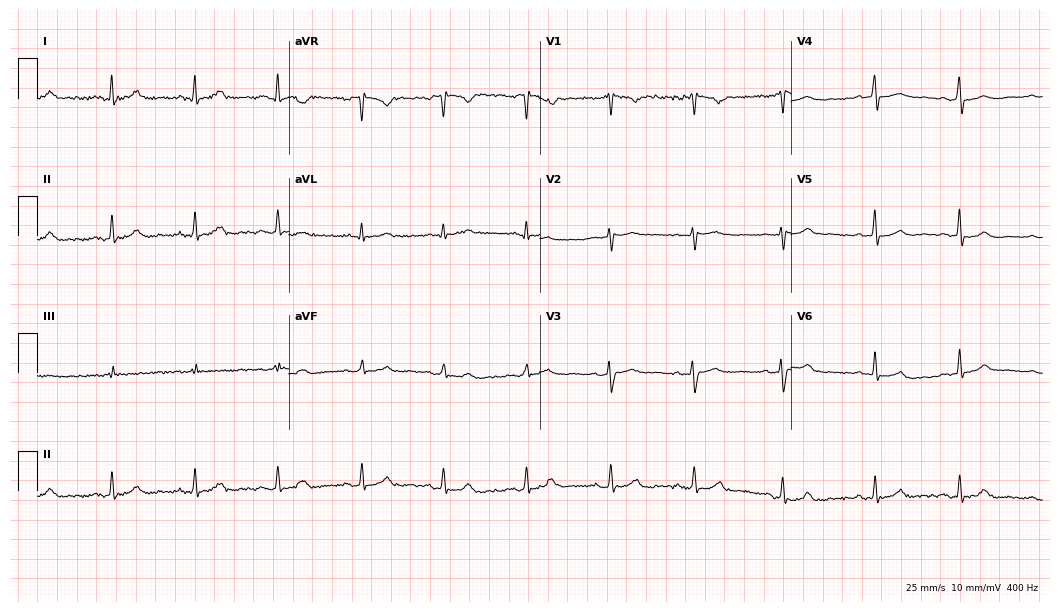
Resting 12-lead electrocardiogram (10.2-second recording at 400 Hz). Patient: a female, 45 years old. None of these six findings is recorded: first-degree AV block, right bundle branch block, left bundle branch block, sinus bradycardia, atrial fibrillation, sinus tachycardia.